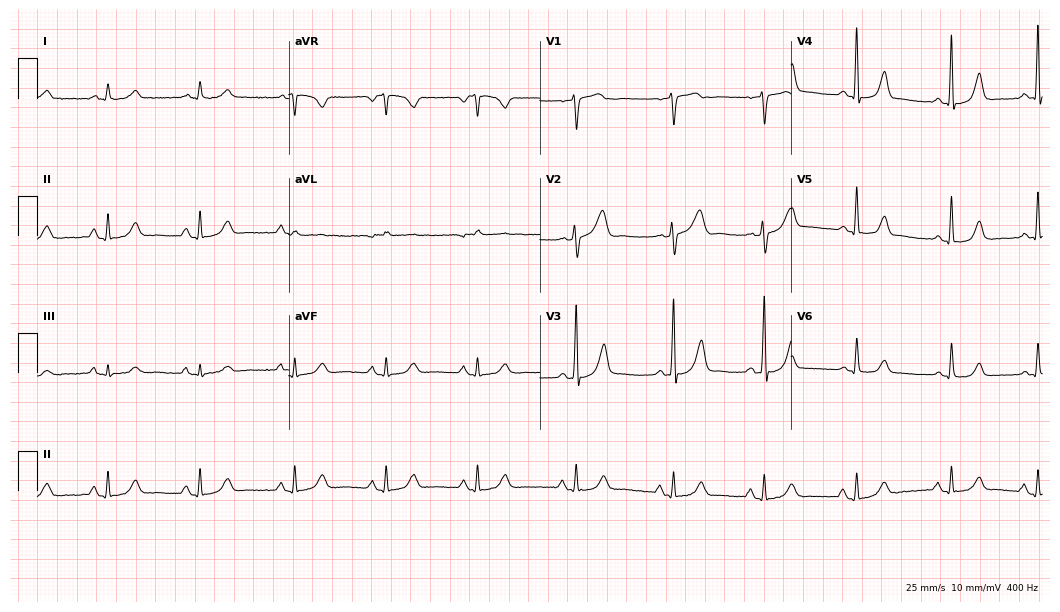
12-lead ECG (10.2-second recording at 400 Hz) from a 55-year-old woman. Screened for six findings — first-degree AV block, right bundle branch block, left bundle branch block, sinus bradycardia, atrial fibrillation, sinus tachycardia — none is recorded. Other findings, if any, are not listed.